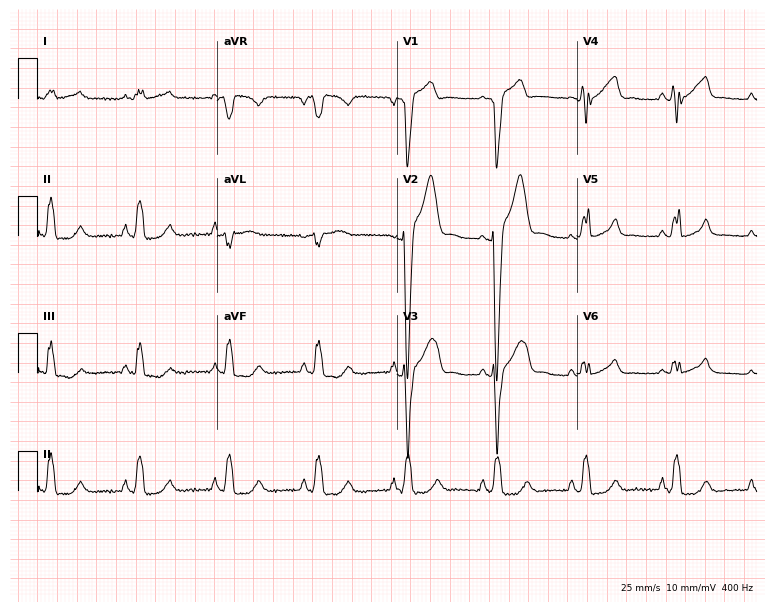
ECG — a 69-year-old man. Findings include left bundle branch block (LBBB).